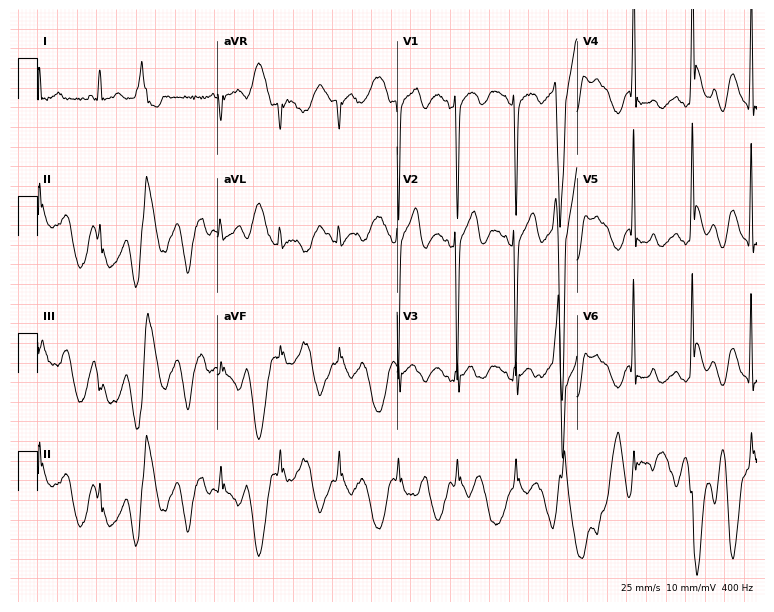
12-lead ECG (7.3-second recording at 400 Hz) from a male patient, 20 years old. Screened for six findings — first-degree AV block, right bundle branch block, left bundle branch block, sinus bradycardia, atrial fibrillation, sinus tachycardia — none is recorded.